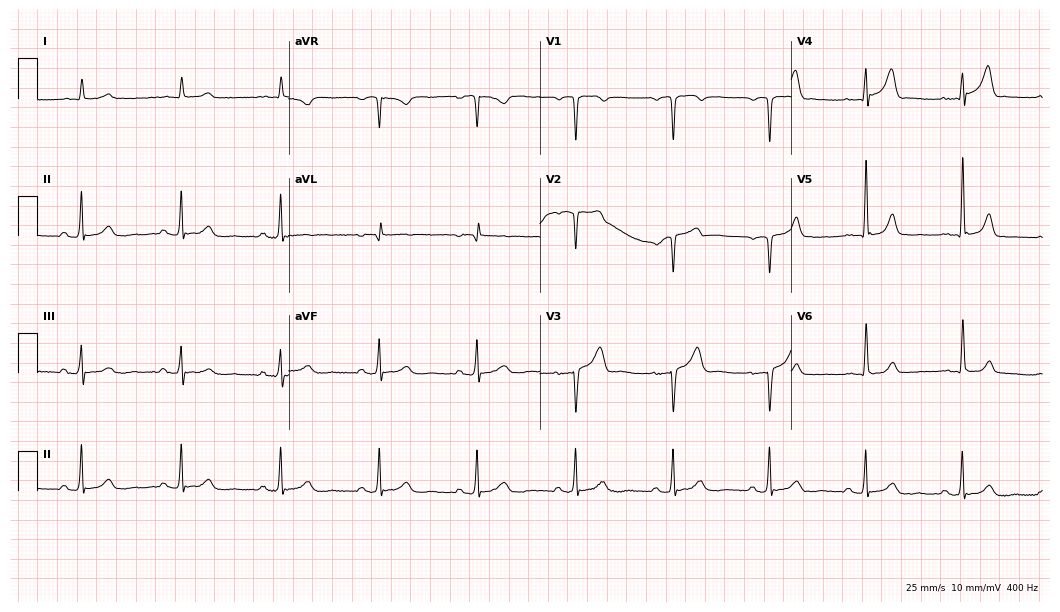
Electrocardiogram (10.2-second recording at 400 Hz), a 72-year-old male. Of the six screened findings (first-degree AV block, right bundle branch block (RBBB), left bundle branch block (LBBB), sinus bradycardia, atrial fibrillation (AF), sinus tachycardia), none is recorded.